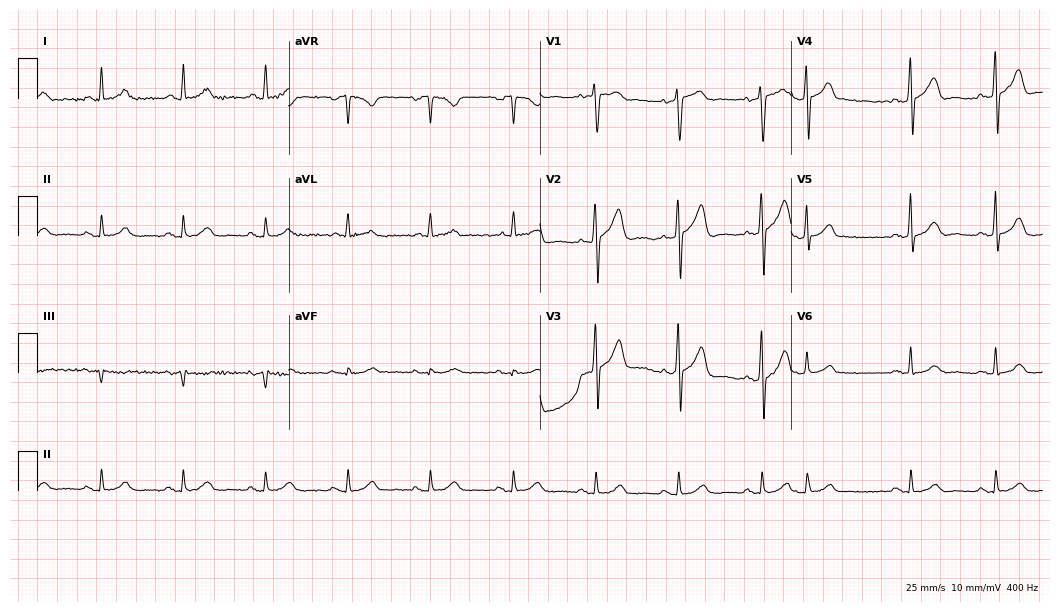
Electrocardiogram, a male, 78 years old. Overall reading on record: normal ECG.